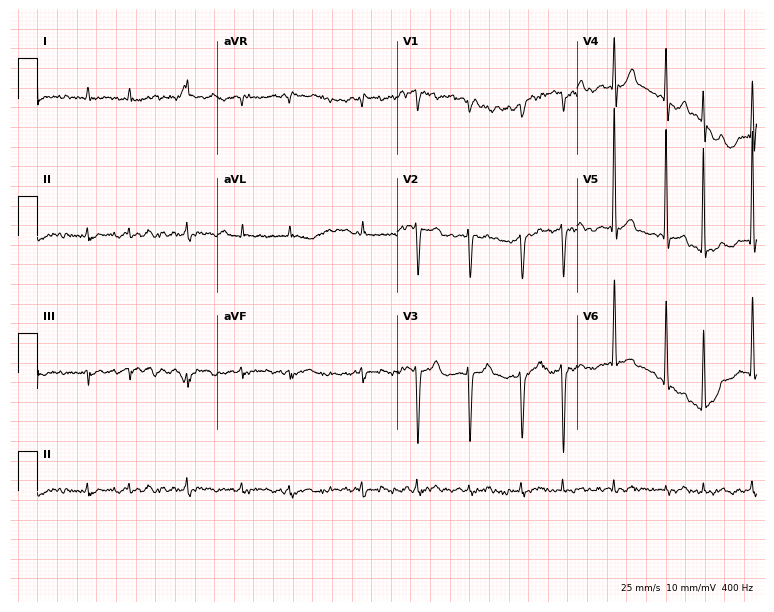
ECG (7.3-second recording at 400 Hz) — a 69-year-old female patient. Findings include atrial fibrillation, sinus tachycardia (a sinus rate of 100 beats per minute or more).